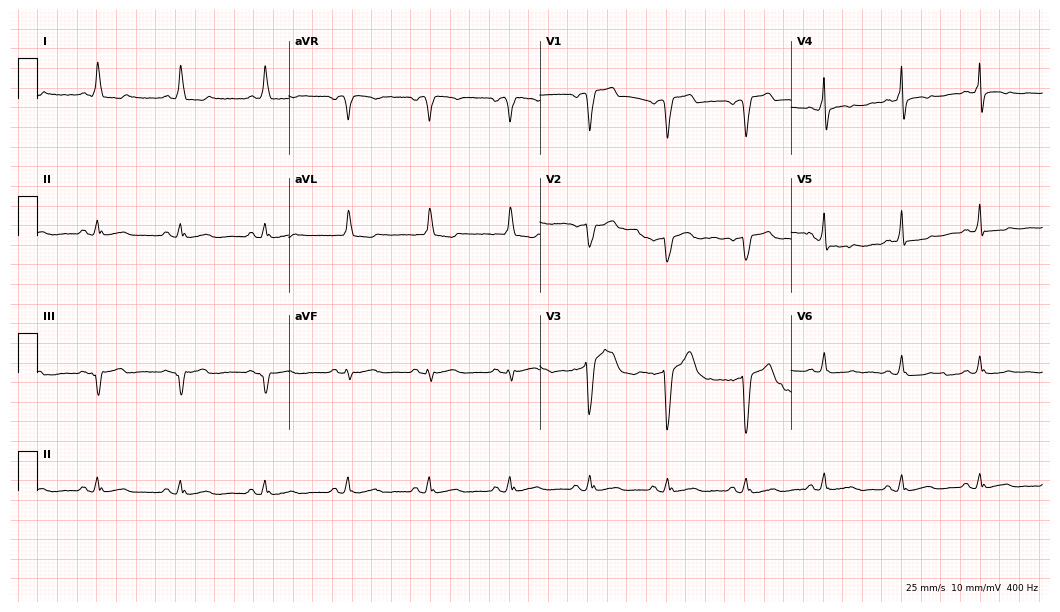
ECG — an 80-year-old male patient. Screened for six findings — first-degree AV block, right bundle branch block (RBBB), left bundle branch block (LBBB), sinus bradycardia, atrial fibrillation (AF), sinus tachycardia — none is recorded.